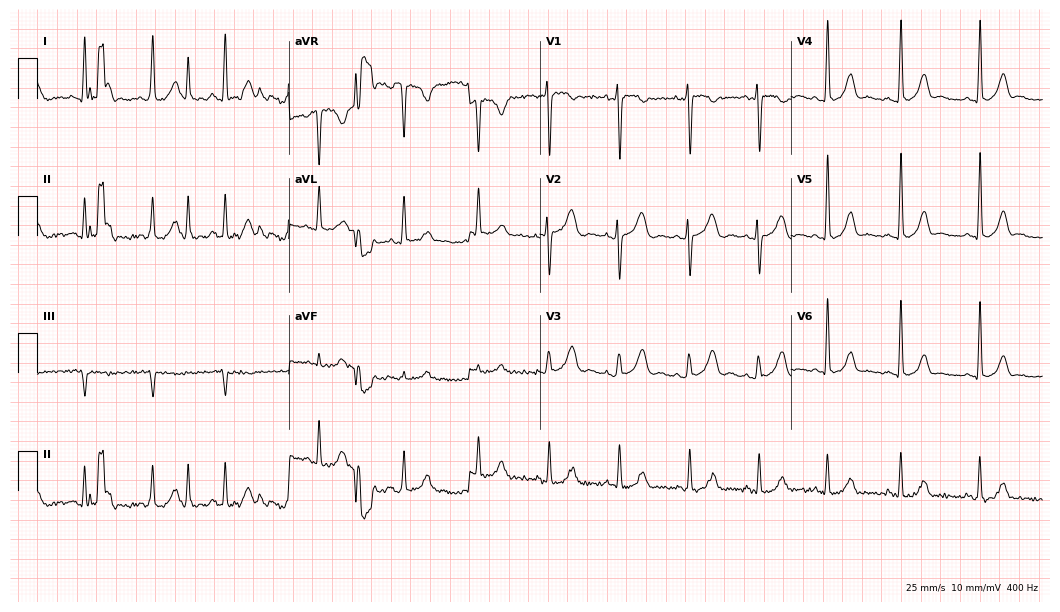
12-lead ECG from a female, 19 years old (10.2-second recording at 400 Hz). No first-degree AV block, right bundle branch block, left bundle branch block, sinus bradycardia, atrial fibrillation or sinus tachycardia recorded for this tracing. Findings outside these six are not listed.